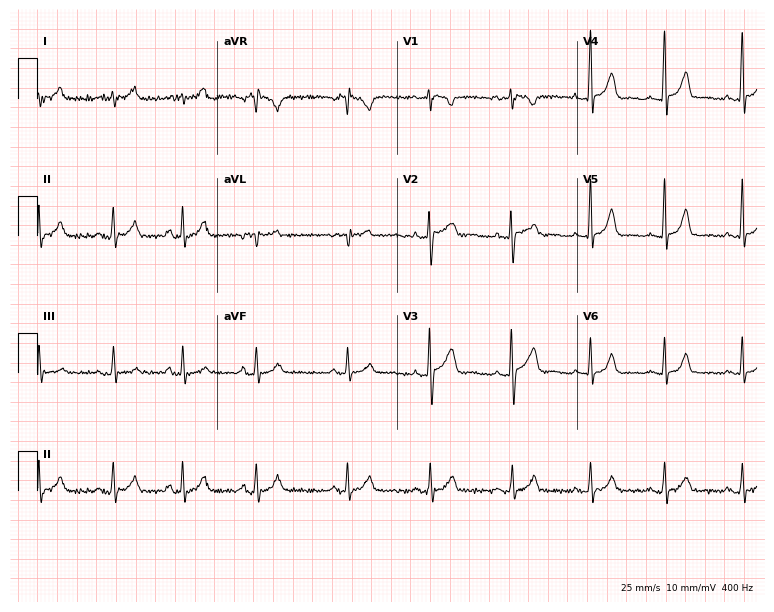
Standard 12-lead ECG recorded from a male patient, 19 years old (7.3-second recording at 400 Hz). None of these six findings is recorded: first-degree AV block, right bundle branch block, left bundle branch block, sinus bradycardia, atrial fibrillation, sinus tachycardia.